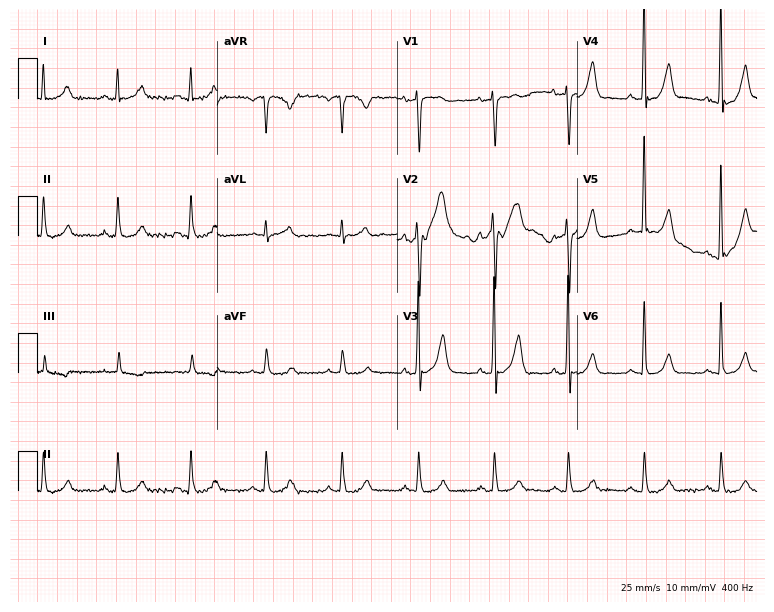
Resting 12-lead electrocardiogram. Patient: a 60-year-old male. Read as a normal ECG.